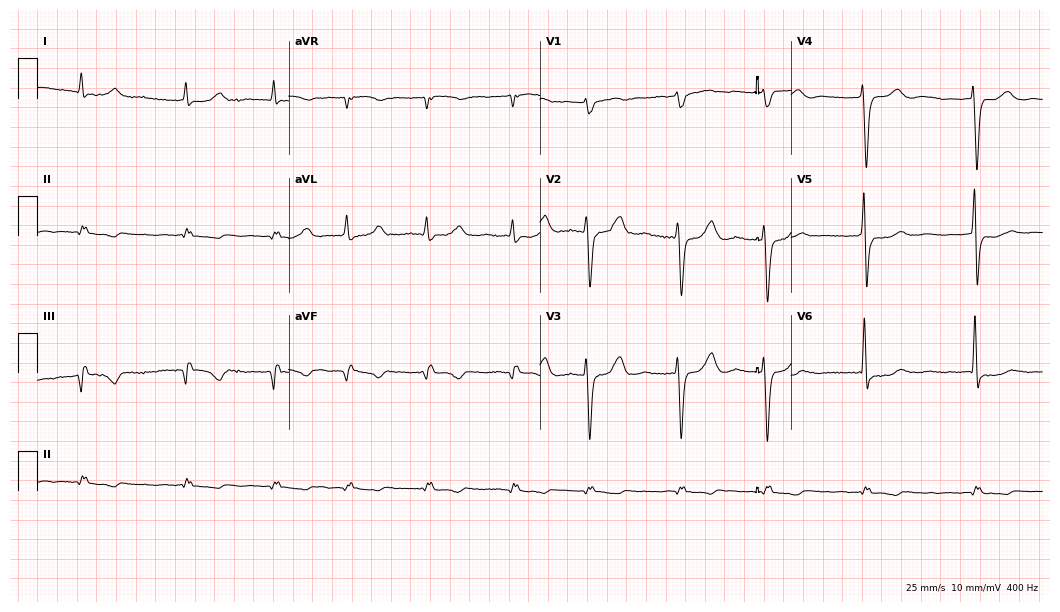
12-lead ECG from an 82-year-old man. Findings include atrial fibrillation.